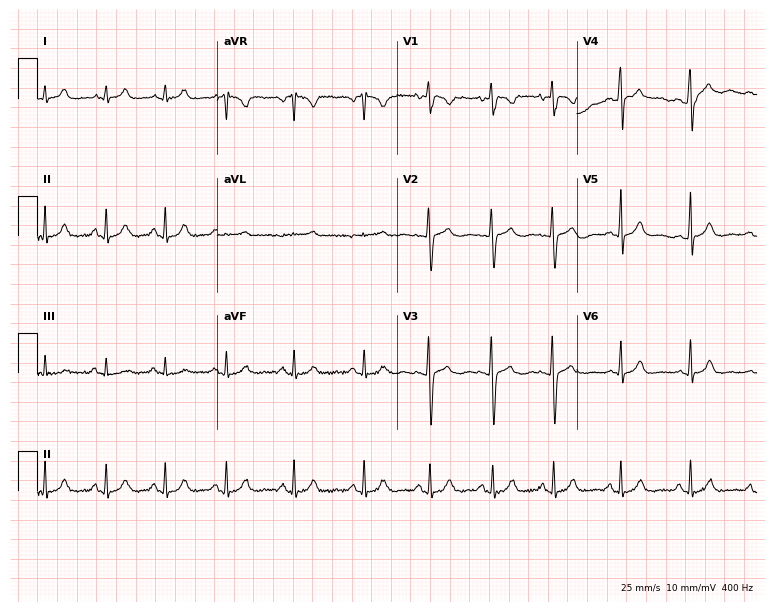
Standard 12-lead ECG recorded from a 21-year-old female patient (7.3-second recording at 400 Hz). None of these six findings is recorded: first-degree AV block, right bundle branch block, left bundle branch block, sinus bradycardia, atrial fibrillation, sinus tachycardia.